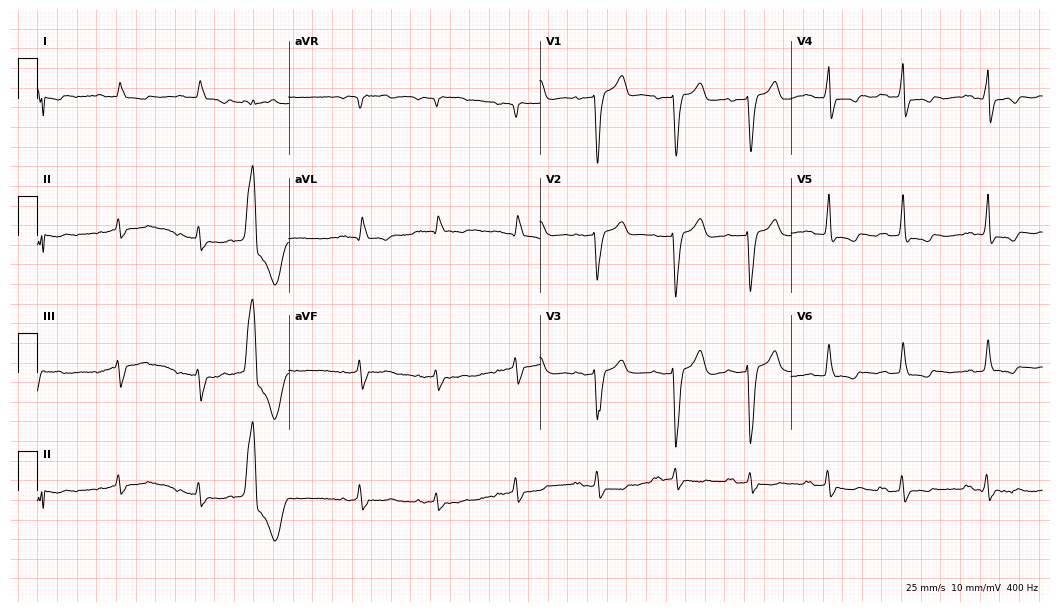
12-lead ECG from a man, 72 years old. Screened for six findings — first-degree AV block, right bundle branch block, left bundle branch block, sinus bradycardia, atrial fibrillation, sinus tachycardia — none is recorded. Findings outside these six are not listed.